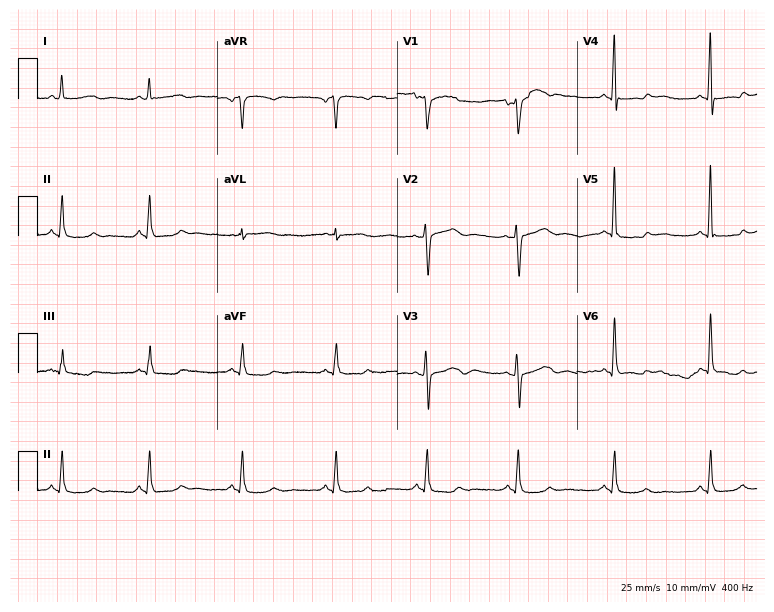
12-lead ECG from a 51-year-old female. No first-degree AV block, right bundle branch block, left bundle branch block, sinus bradycardia, atrial fibrillation or sinus tachycardia recorded for this tracing. Findings outside these six are not listed.